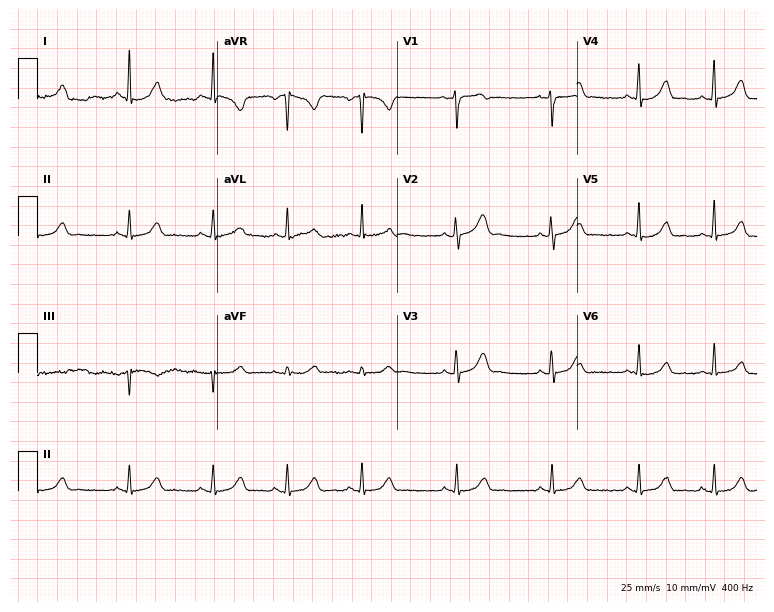
12-lead ECG from a female patient, 19 years old (7.3-second recording at 400 Hz). Recorded interpretation: within normal limits.